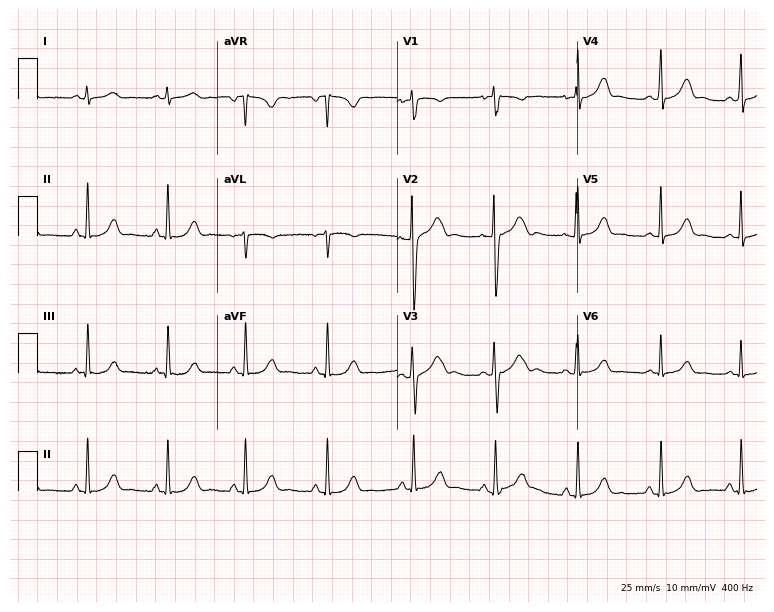
12-lead ECG (7.3-second recording at 400 Hz) from a woman, 22 years old. Labelled as a normal ECG.